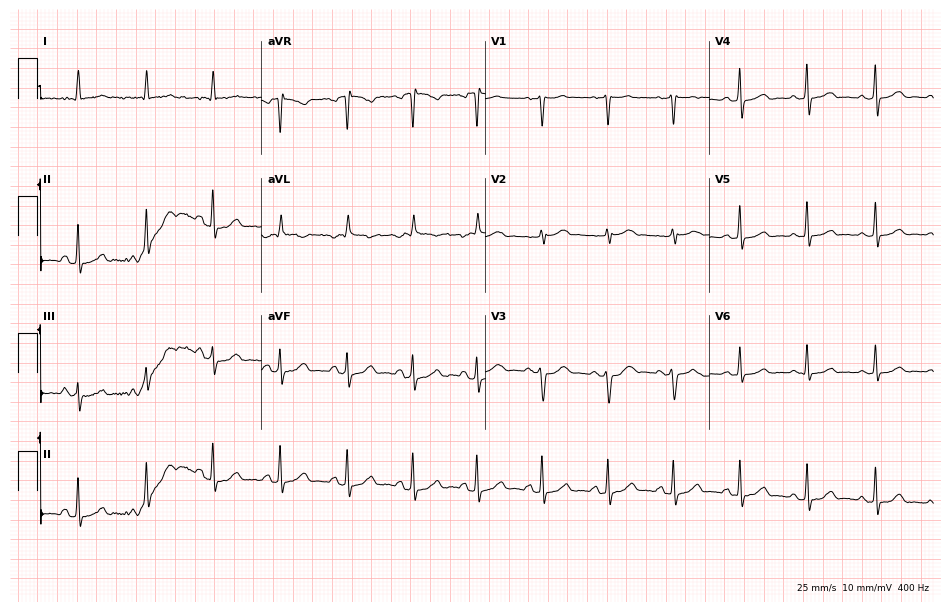
12-lead ECG from a female, 60 years old (9.1-second recording at 400 Hz). Recorded interpretation: within normal limits.